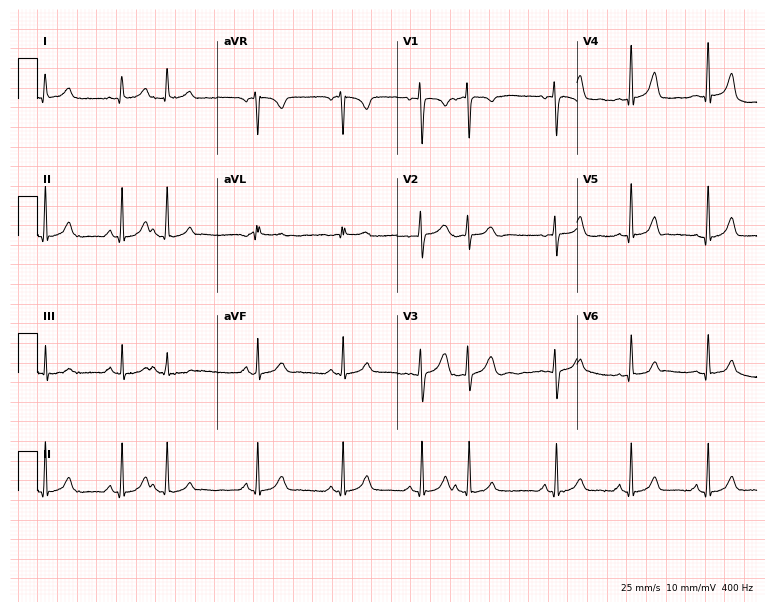
12-lead ECG from a woman, 26 years old. Screened for six findings — first-degree AV block, right bundle branch block, left bundle branch block, sinus bradycardia, atrial fibrillation, sinus tachycardia — none is recorded. Only these six findings were labelled.